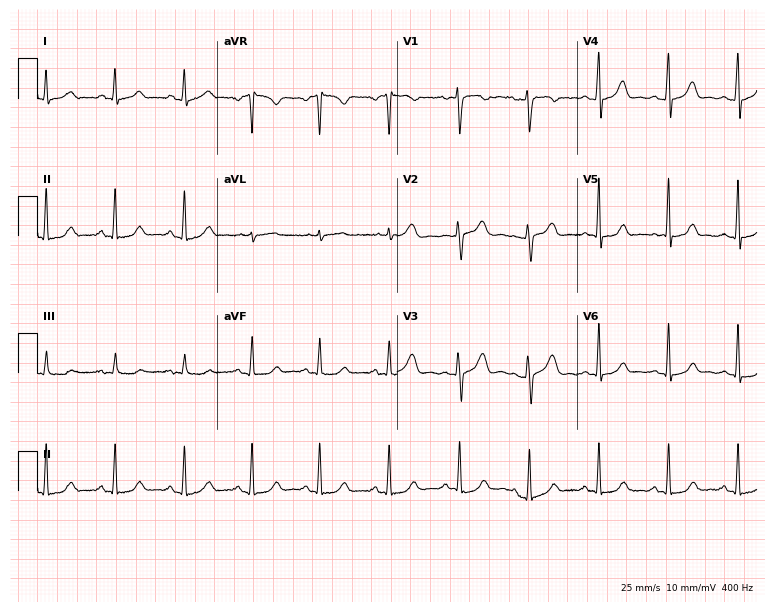
12-lead ECG from a 45-year-old woman. Recorded interpretation: within normal limits.